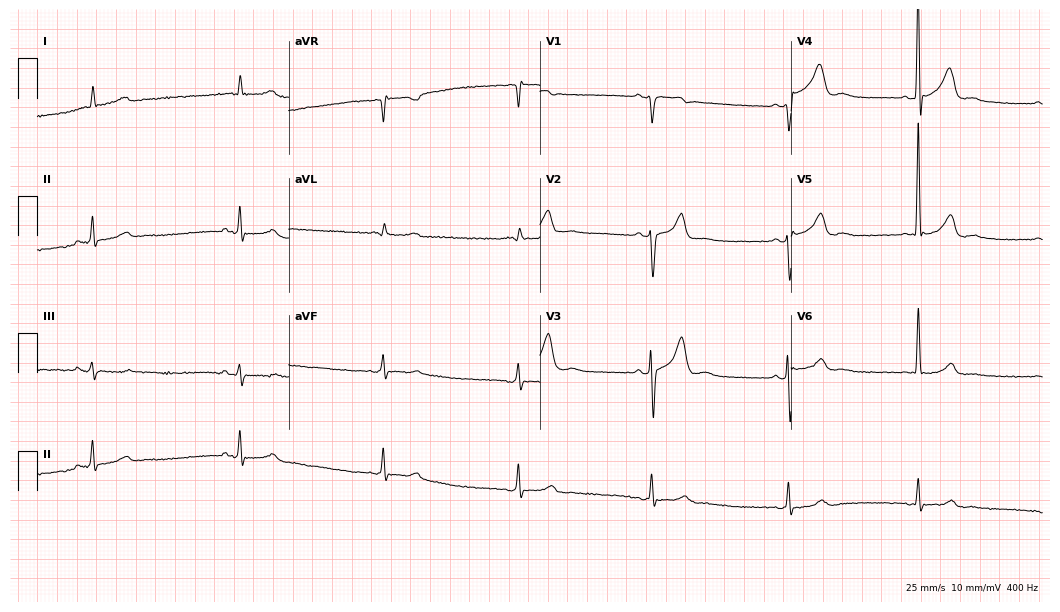
12-lead ECG from a 74-year-old man. Findings include sinus bradycardia (a sinus rate of 50 beats per minute or less).